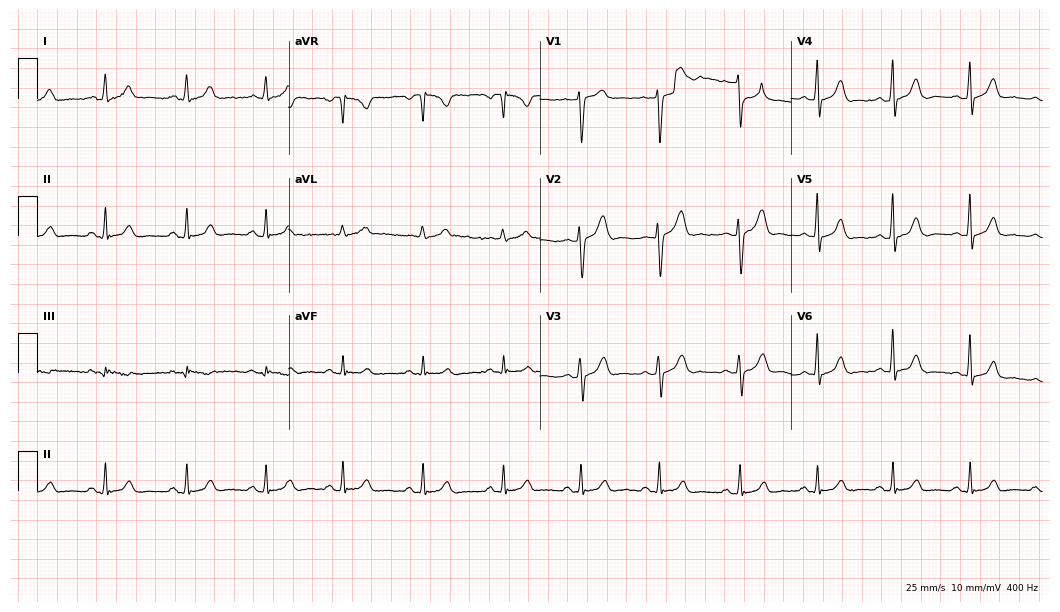
ECG (10.2-second recording at 400 Hz) — a 32-year-old woman. Labelled as a normal ECG.